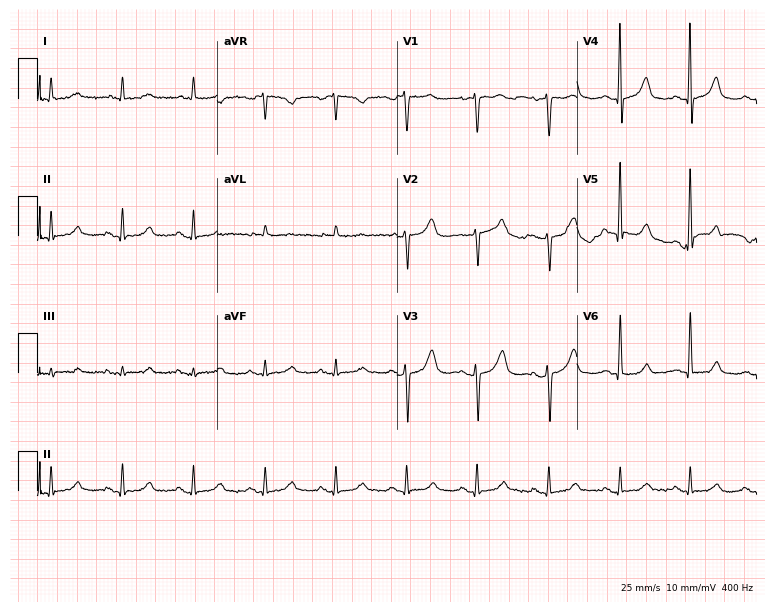
Electrocardiogram (7.3-second recording at 400 Hz), a female, 71 years old. Overall reading on record: normal ECG.